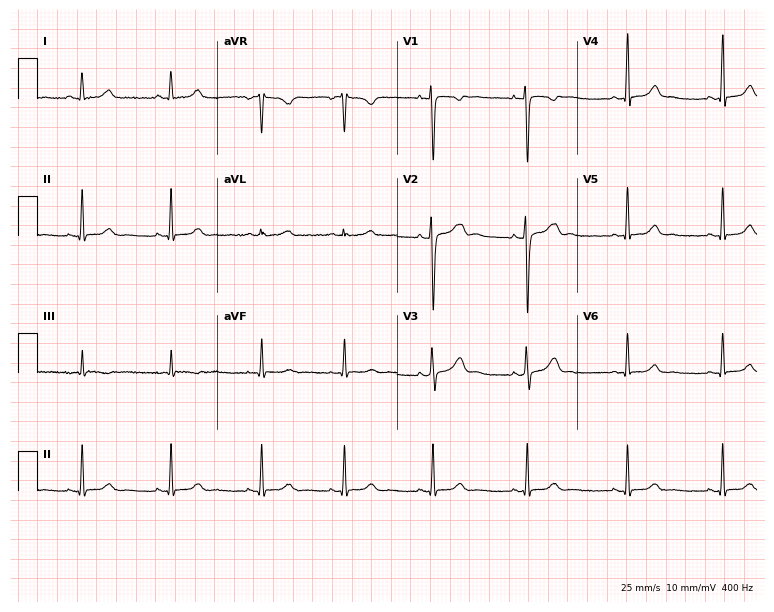
12-lead ECG (7.3-second recording at 400 Hz) from a female patient, 27 years old. Screened for six findings — first-degree AV block, right bundle branch block, left bundle branch block, sinus bradycardia, atrial fibrillation, sinus tachycardia — none is recorded. Only these six findings were labelled.